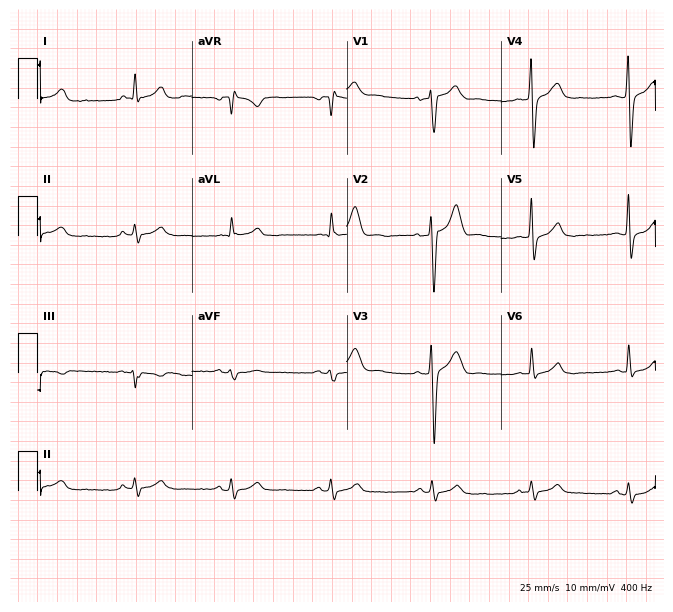
Electrocardiogram (6.3-second recording at 400 Hz), a 41-year-old male. Of the six screened findings (first-degree AV block, right bundle branch block, left bundle branch block, sinus bradycardia, atrial fibrillation, sinus tachycardia), none is recorded.